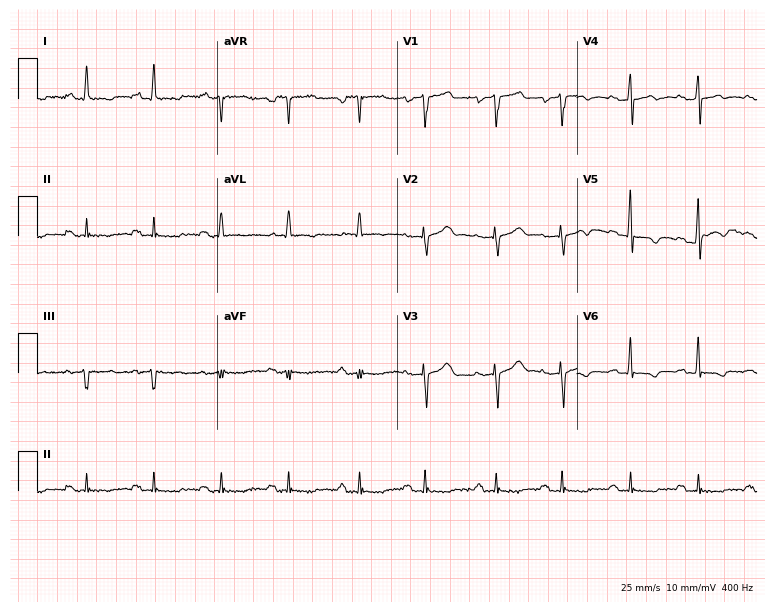
12-lead ECG from a 77-year-old male patient. Recorded interpretation: within normal limits.